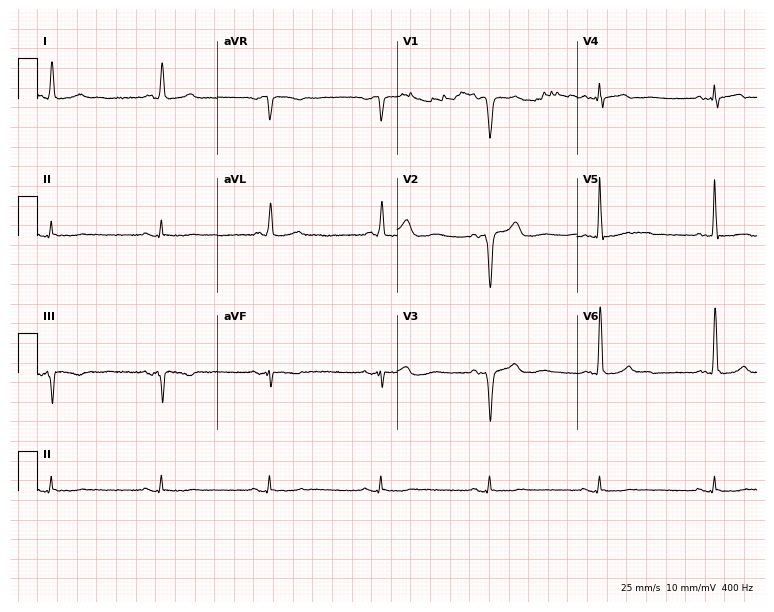
Electrocardiogram, a man, 62 years old. Of the six screened findings (first-degree AV block, right bundle branch block, left bundle branch block, sinus bradycardia, atrial fibrillation, sinus tachycardia), none is recorded. Only these six findings were labelled.